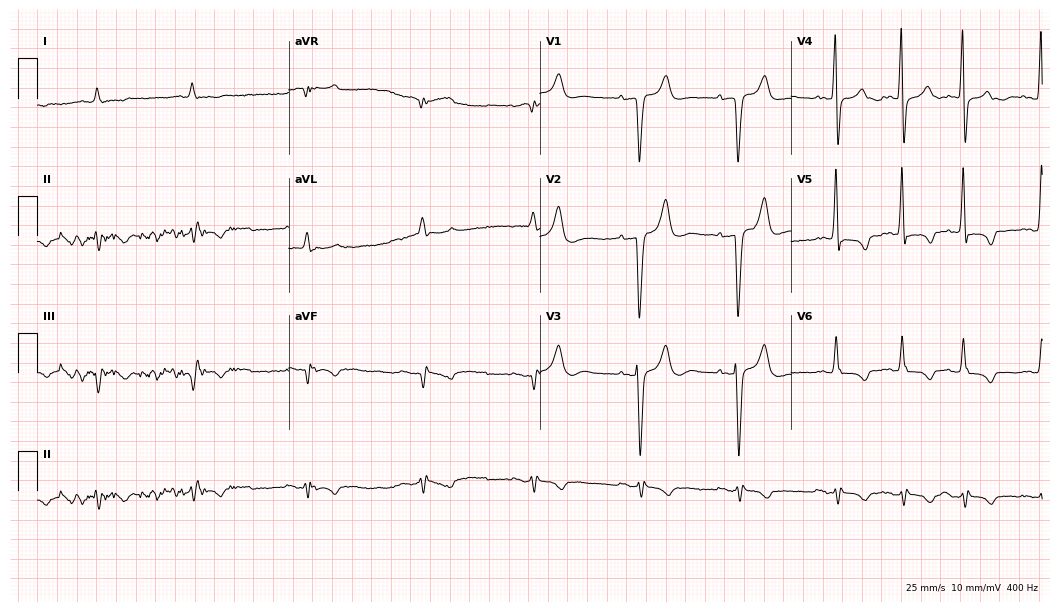
Electrocardiogram (10.2-second recording at 400 Hz), a man, 81 years old. Of the six screened findings (first-degree AV block, right bundle branch block, left bundle branch block, sinus bradycardia, atrial fibrillation, sinus tachycardia), none is recorded.